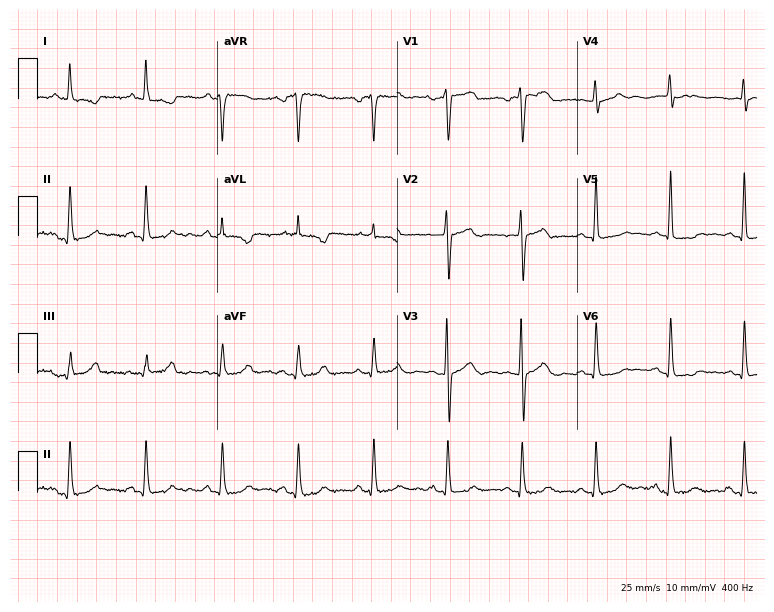
12-lead ECG (7.3-second recording at 400 Hz) from a female patient, 56 years old. Screened for six findings — first-degree AV block, right bundle branch block, left bundle branch block, sinus bradycardia, atrial fibrillation, sinus tachycardia — none is recorded.